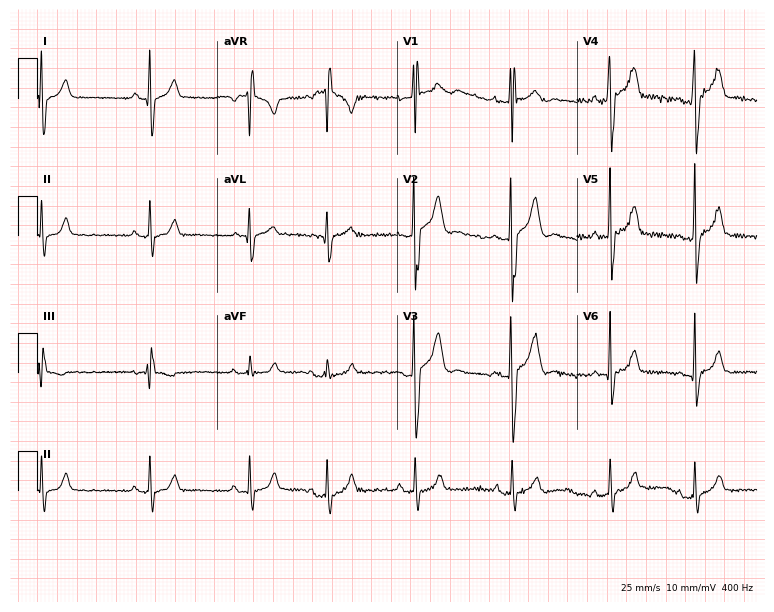
Electrocardiogram, a male patient, 19 years old. Of the six screened findings (first-degree AV block, right bundle branch block (RBBB), left bundle branch block (LBBB), sinus bradycardia, atrial fibrillation (AF), sinus tachycardia), none is recorded. Only these six findings were labelled.